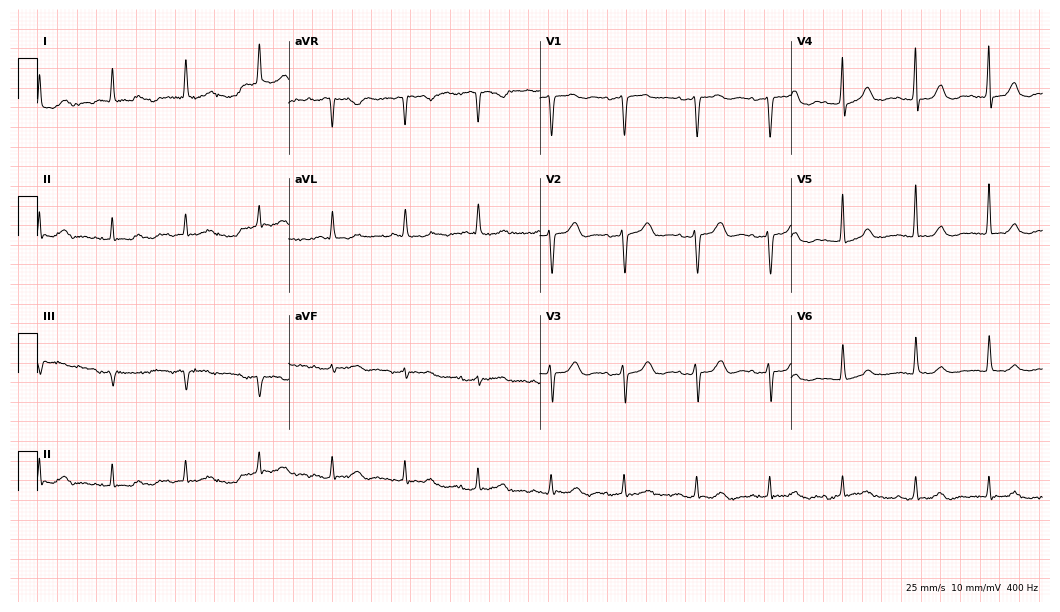
Electrocardiogram (10.2-second recording at 400 Hz), an 85-year-old female. Overall reading on record: normal ECG.